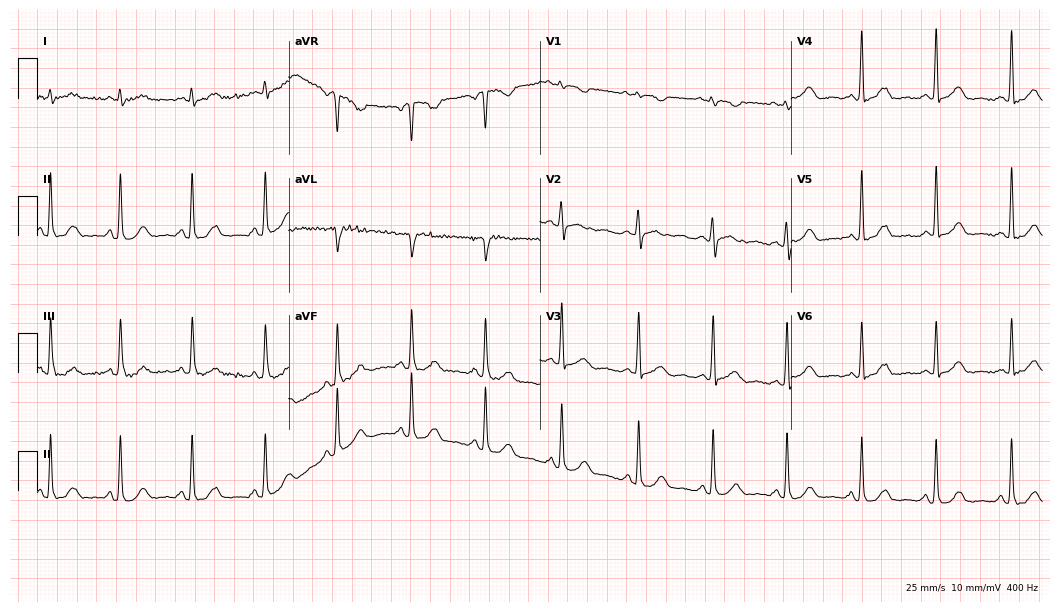
Electrocardiogram (10.2-second recording at 400 Hz), a woman, 37 years old. Of the six screened findings (first-degree AV block, right bundle branch block, left bundle branch block, sinus bradycardia, atrial fibrillation, sinus tachycardia), none is recorded. Other findings, if any, are not listed.